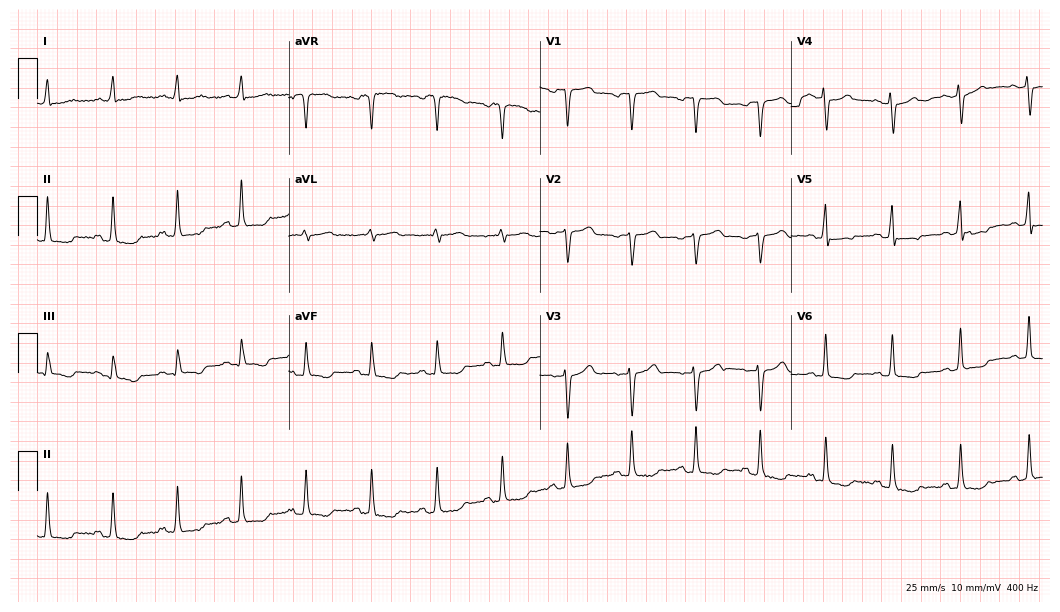
Standard 12-lead ECG recorded from a woman, 58 years old (10.2-second recording at 400 Hz). None of these six findings is recorded: first-degree AV block, right bundle branch block (RBBB), left bundle branch block (LBBB), sinus bradycardia, atrial fibrillation (AF), sinus tachycardia.